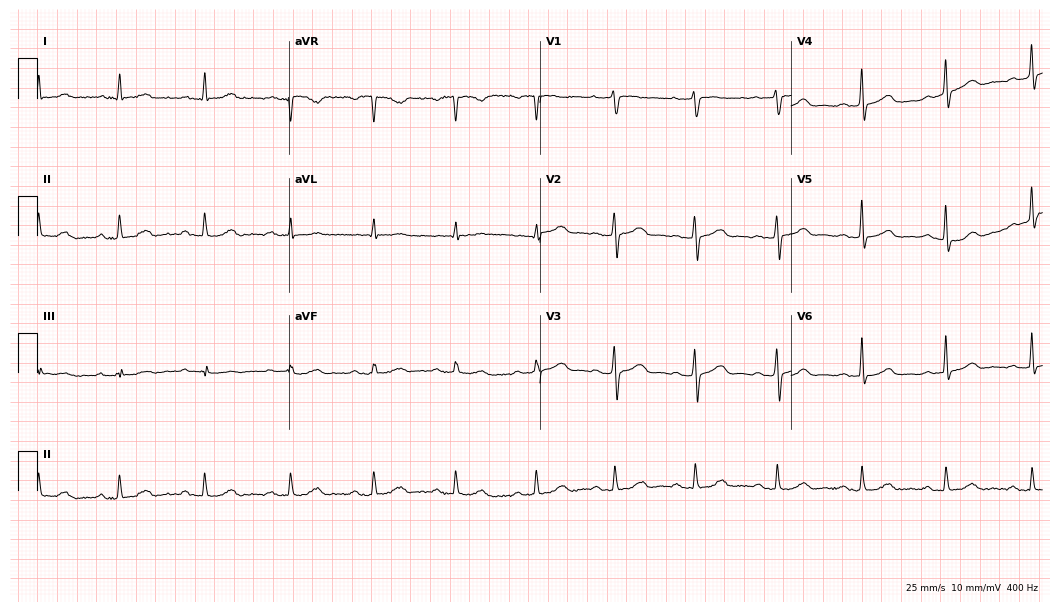
12-lead ECG from a 54-year-old woman. Shows first-degree AV block.